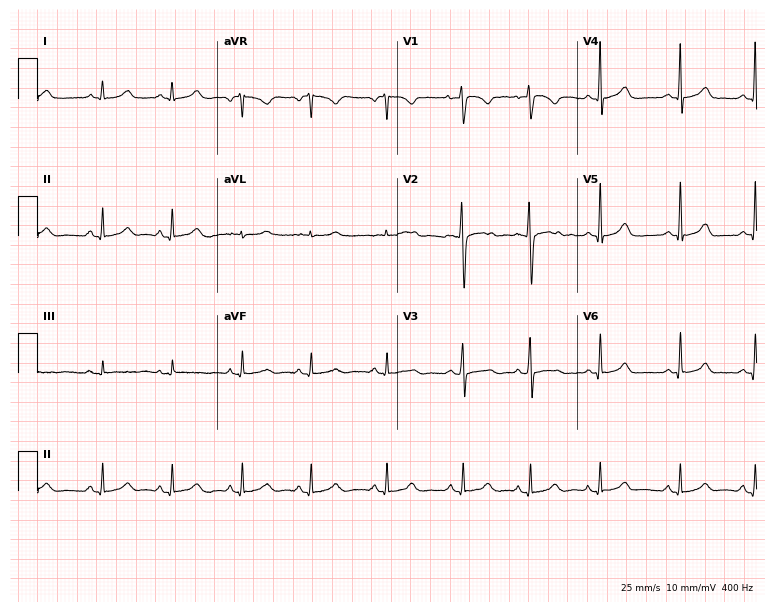
Resting 12-lead electrocardiogram (7.3-second recording at 400 Hz). Patient: a 17-year-old woman. Read as a normal ECG.